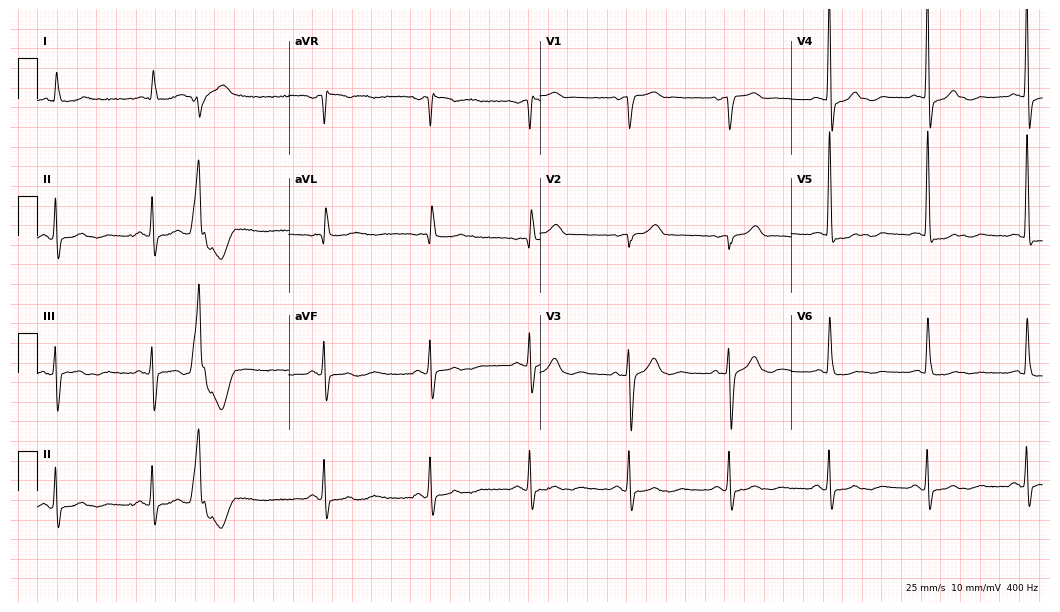
Standard 12-lead ECG recorded from a female, 69 years old (10.2-second recording at 400 Hz). None of these six findings is recorded: first-degree AV block, right bundle branch block (RBBB), left bundle branch block (LBBB), sinus bradycardia, atrial fibrillation (AF), sinus tachycardia.